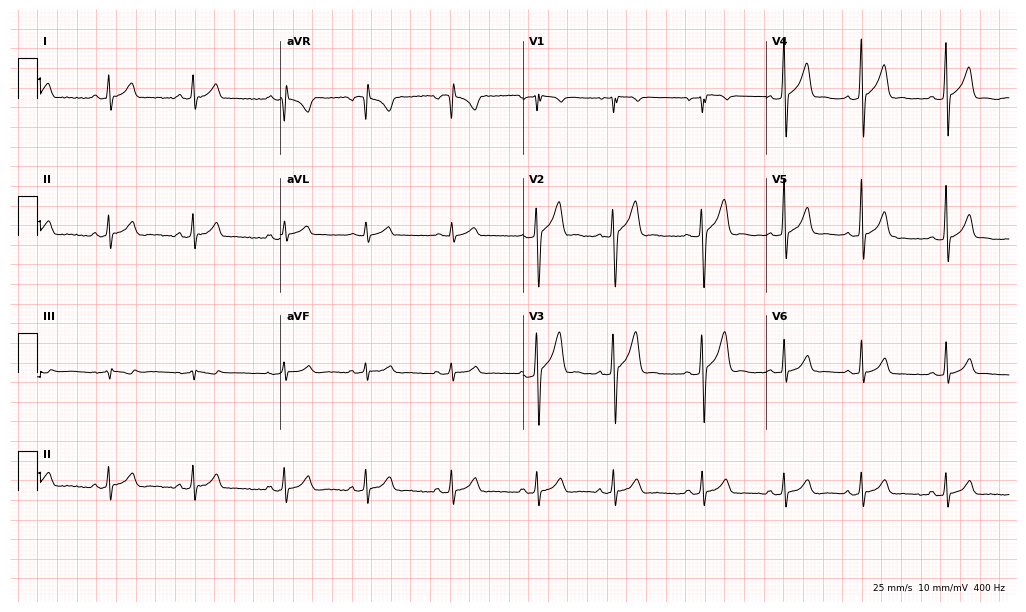
Standard 12-lead ECG recorded from a 27-year-old man. Read as a normal ECG.